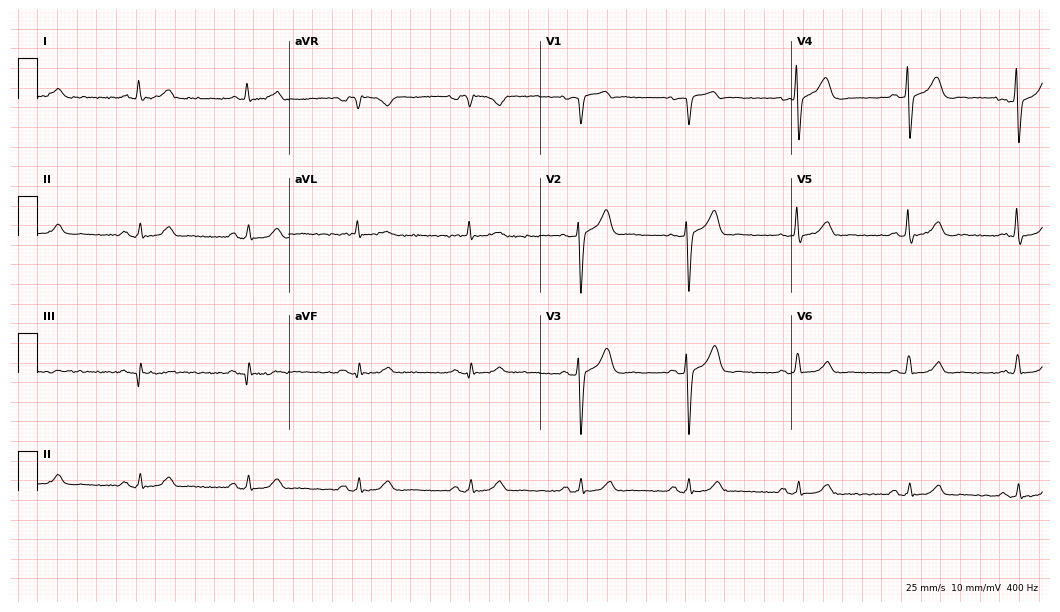
Electrocardiogram, a 73-year-old male patient. Of the six screened findings (first-degree AV block, right bundle branch block (RBBB), left bundle branch block (LBBB), sinus bradycardia, atrial fibrillation (AF), sinus tachycardia), none is recorded. Findings outside these six are not listed.